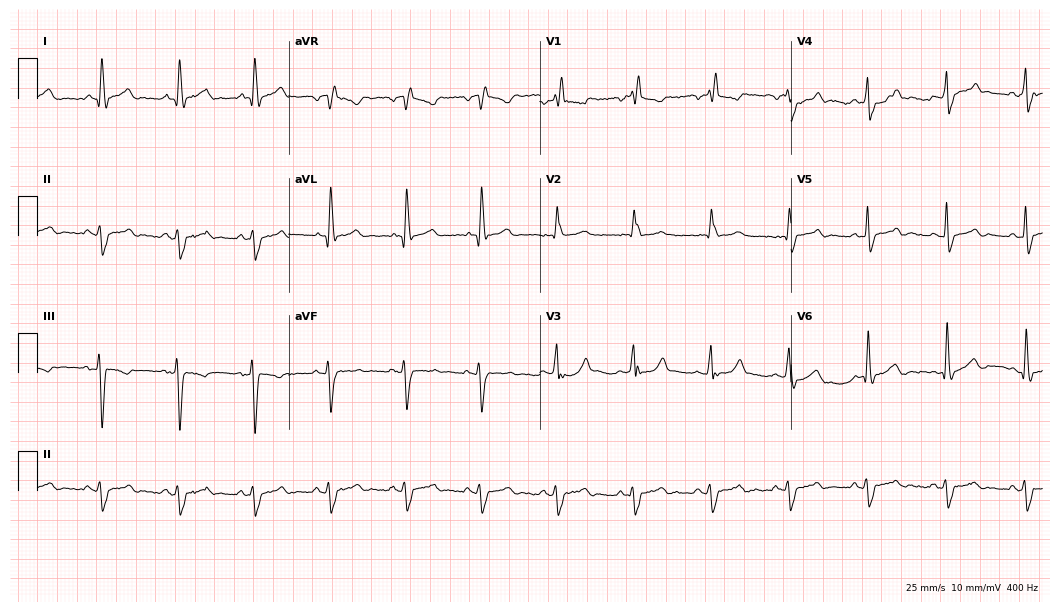
12-lead ECG from a man, 69 years old. Shows right bundle branch block.